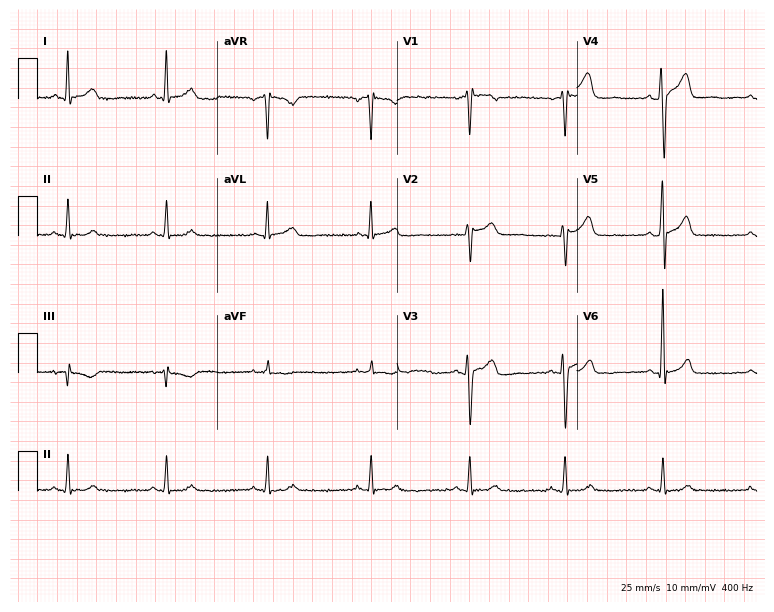
Standard 12-lead ECG recorded from a male patient, 36 years old (7.3-second recording at 400 Hz). Read as a normal ECG.